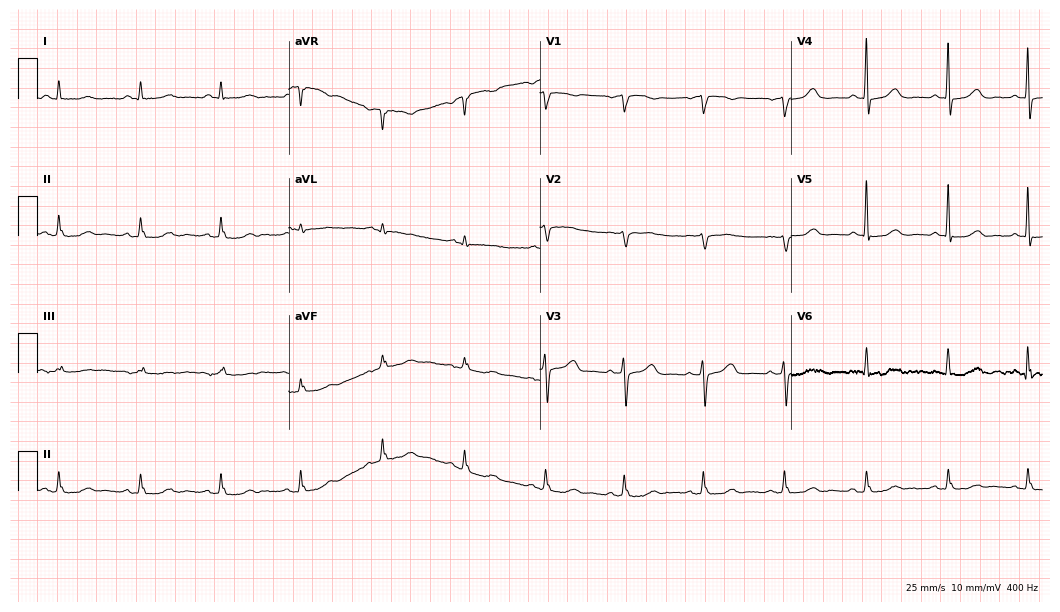
12-lead ECG from a female patient, 71 years old. Screened for six findings — first-degree AV block, right bundle branch block, left bundle branch block, sinus bradycardia, atrial fibrillation, sinus tachycardia — none is recorded. Findings outside these six are not listed.